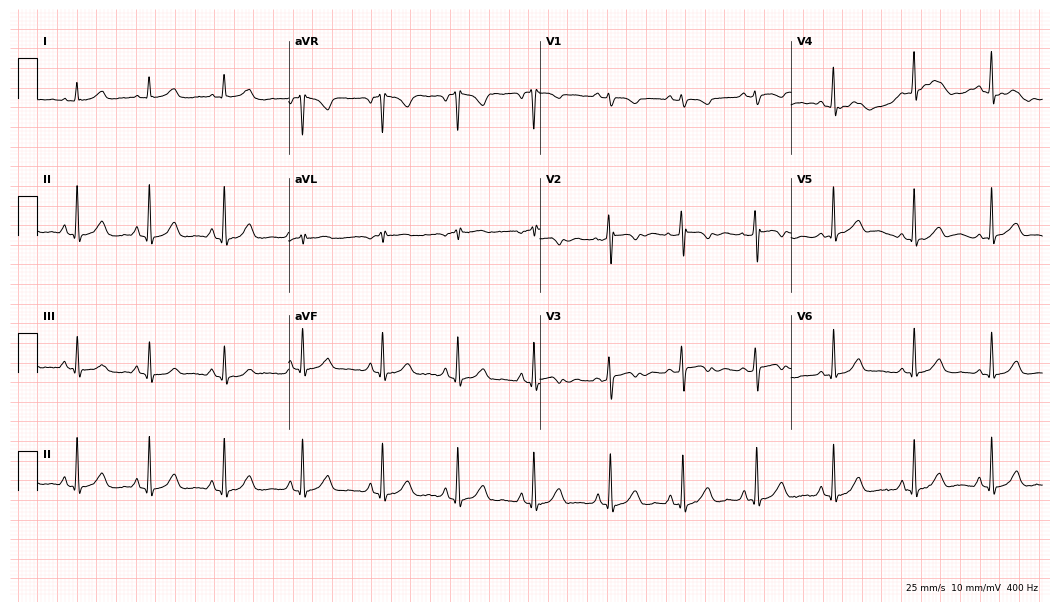
12-lead ECG from a 31-year-old female (10.2-second recording at 400 Hz). No first-degree AV block, right bundle branch block (RBBB), left bundle branch block (LBBB), sinus bradycardia, atrial fibrillation (AF) or sinus tachycardia recorded for this tracing. Findings outside these six are not listed.